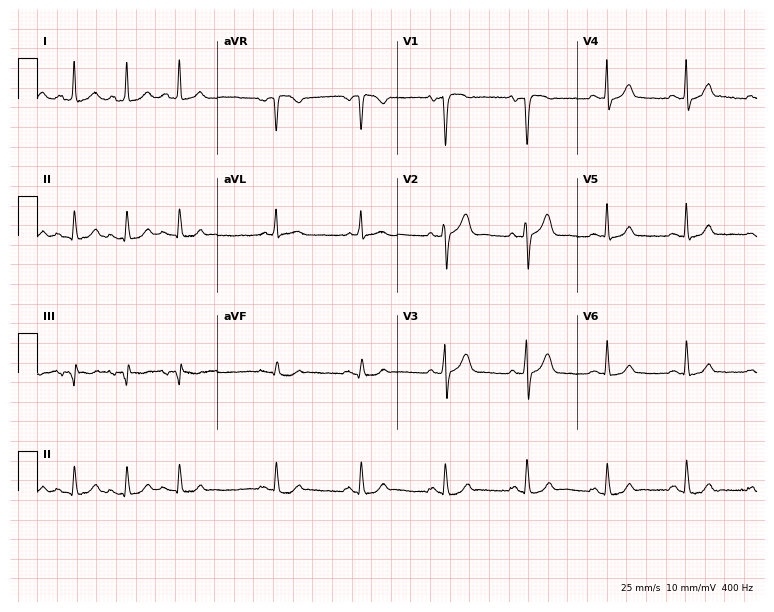
12-lead ECG from a 77-year-old female. Screened for six findings — first-degree AV block, right bundle branch block, left bundle branch block, sinus bradycardia, atrial fibrillation, sinus tachycardia — none is recorded. Other findings, if any, are not listed.